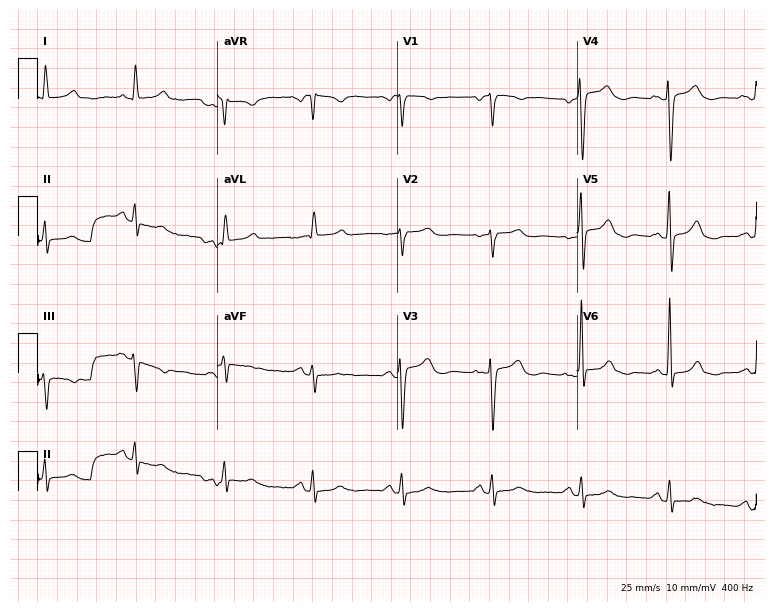
Standard 12-lead ECG recorded from a female, 82 years old. None of these six findings is recorded: first-degree AV block, right bundle branch block (RBBB), left bundle branch block (LBBB), sinus bradycardia, atrial fibrillation (AF), sinus tachycardia.